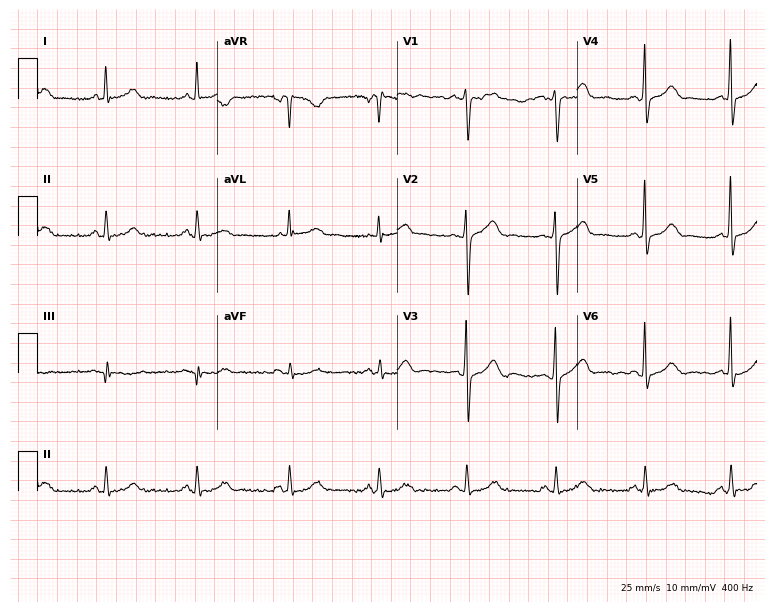
Resting 12-lead electrocardiogram (7.3-second recording at 400 Hz). Patient: a female, 58 years old. Read as a normal ECG.